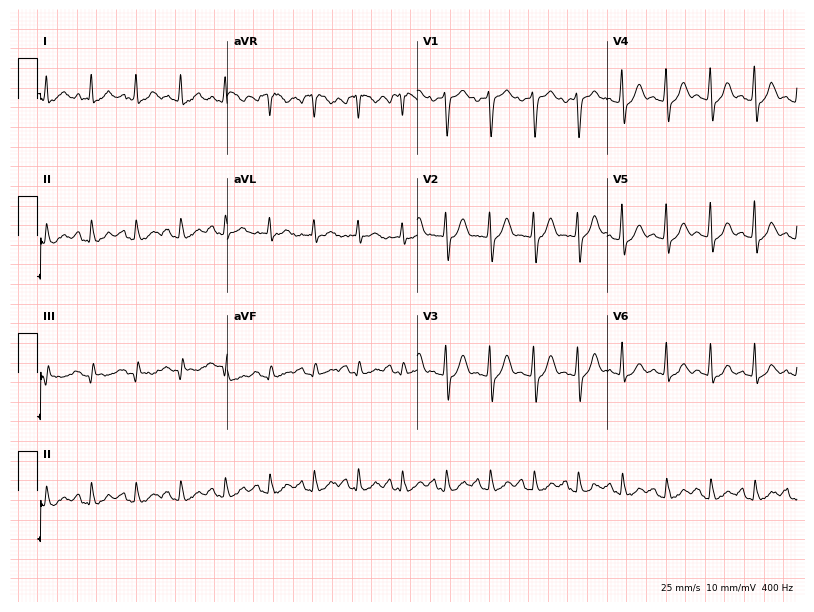
Resting 12-lead electrocardiogram. Patient: a male, 28 years old. None of these six findings is recorded: first-degree AV block, right bundle branch block, left bundle branch block, sinus bradycardia, atrial fibrillation, sinus tachycardia.